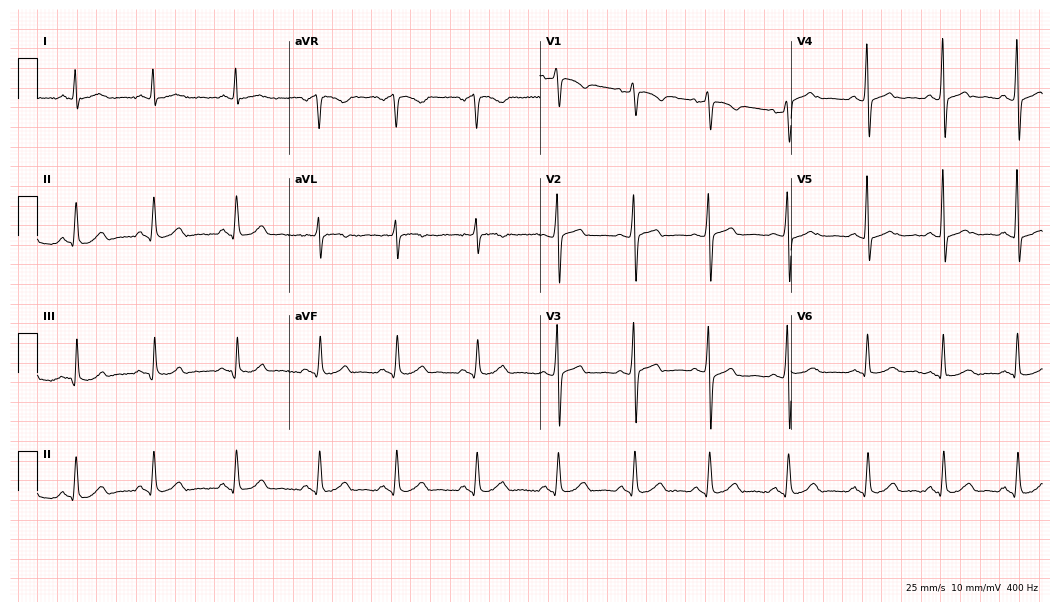
ECG — a 57-year-old female. Labelled as a normal ECG.